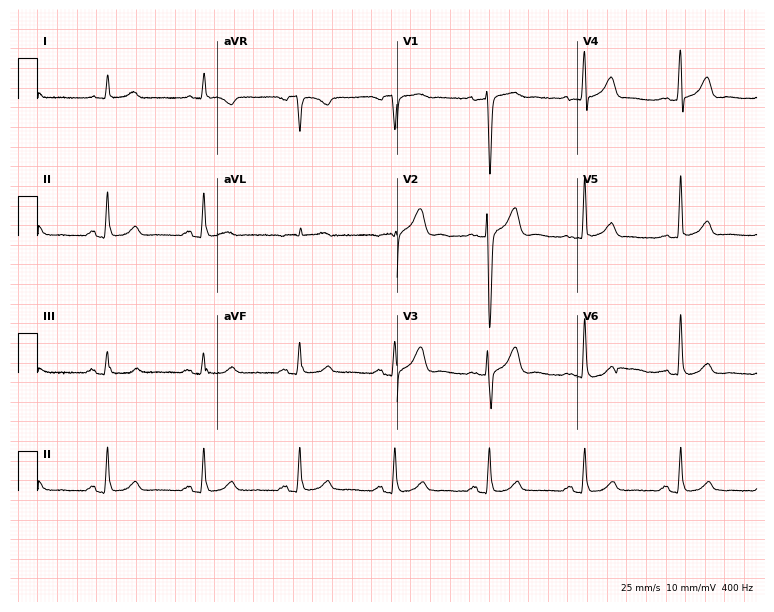
Resting 12-lead electrocardiogram. Patient: a male, 58 years old. Read as a normal ECG.